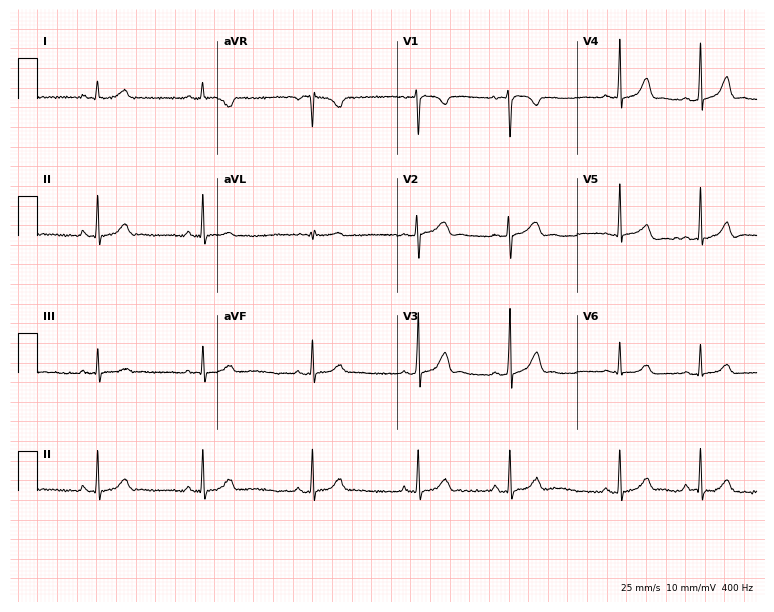
Standard 12-lead ECG recorded from a woman, 17 years old. Read as a normal ECG.